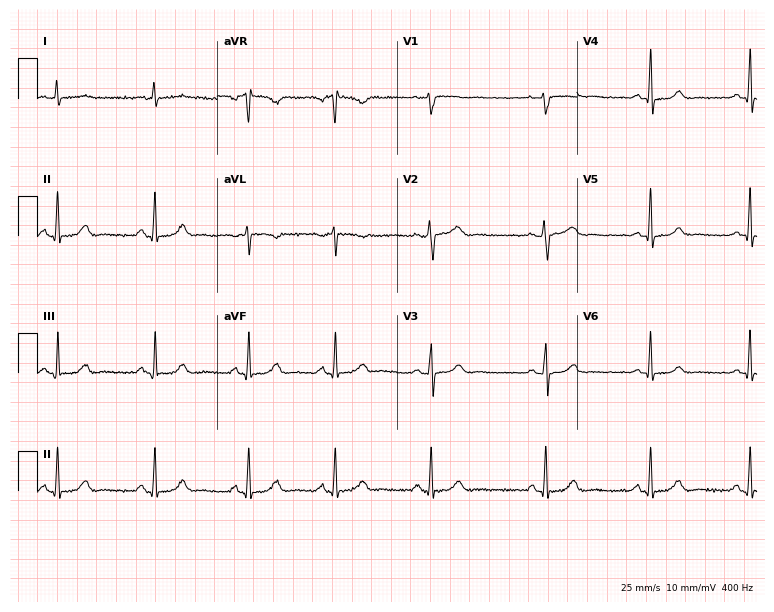
12-lead ECG from a female, 29 years old. No first-degree AV block, right bundle branch block, left bundle branch block, sinus bradycardia, atrial fibrillation or sinus tachycardia recorded for this tracing. Findings outside these six are not listed.